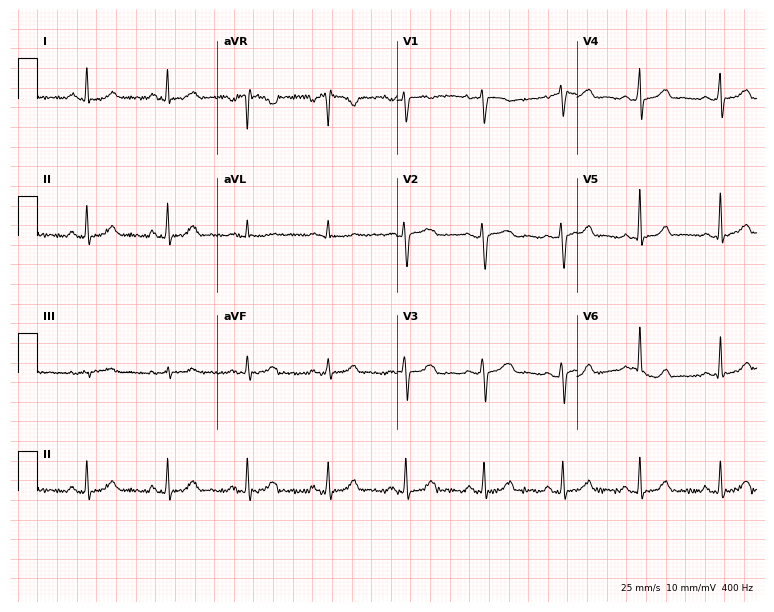
Standard 12-lead ECG recorded from a female, 36 years old. None of these six findings is recorded: first-degree AV block, right bundle branch block (RBBB), left bundle branch block (LBBB), sinus bradycardia, atrial fibrillation (AF), sinus tachycardia.